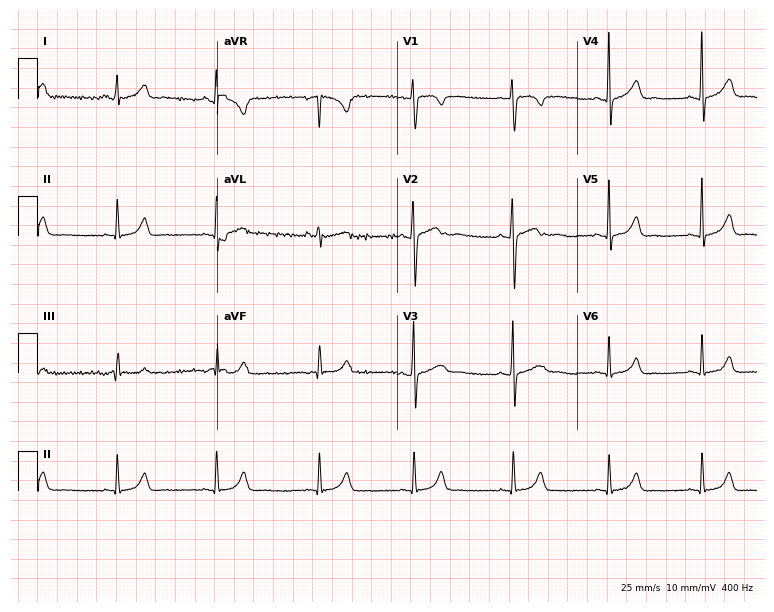
ECG — a female patient, 28 years old. Screened for six findings — first-degree AV block, right bundle branch block, left bundle branch block, sinus bradycardia, atrial fibrillation, sinus tachycardia — none is recorded.